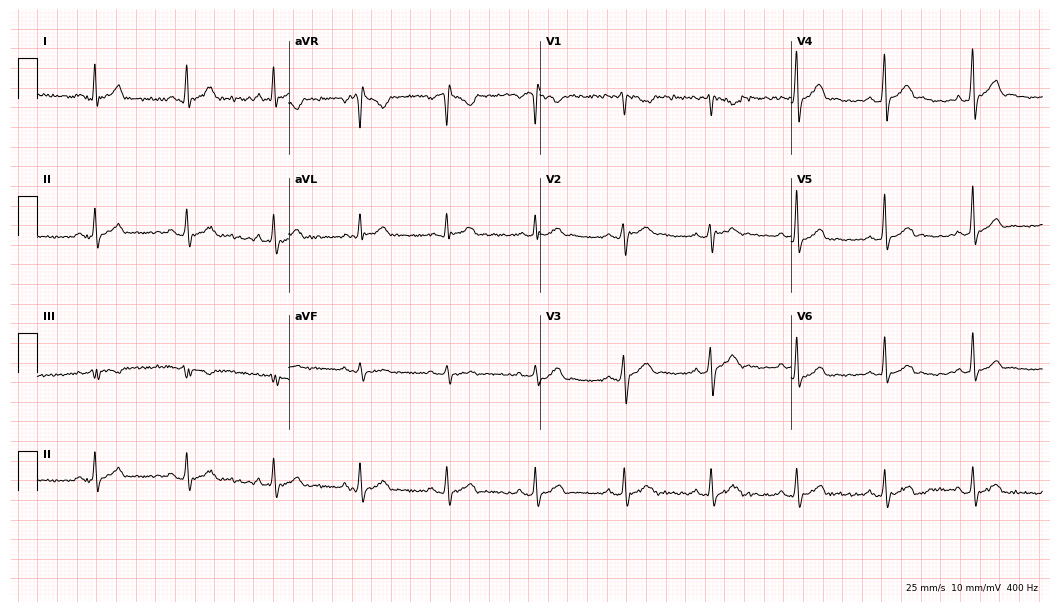
Standard 12-lead ECG recorded from a man, 23 years old. Read as a normal ECG.